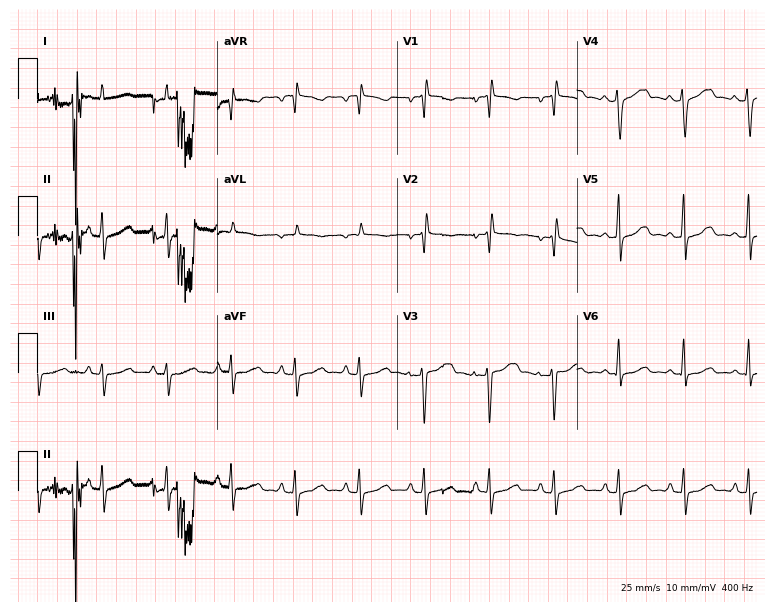
12-lead ECG from a woman, 52 years old. Screened for six findings — first-degree AV block, right bundle branch block, left bundle branch block, sinus bradycardia, atrial fibrillation, sinus tachycardia — none is recorded. Findings outside these six are not listed.